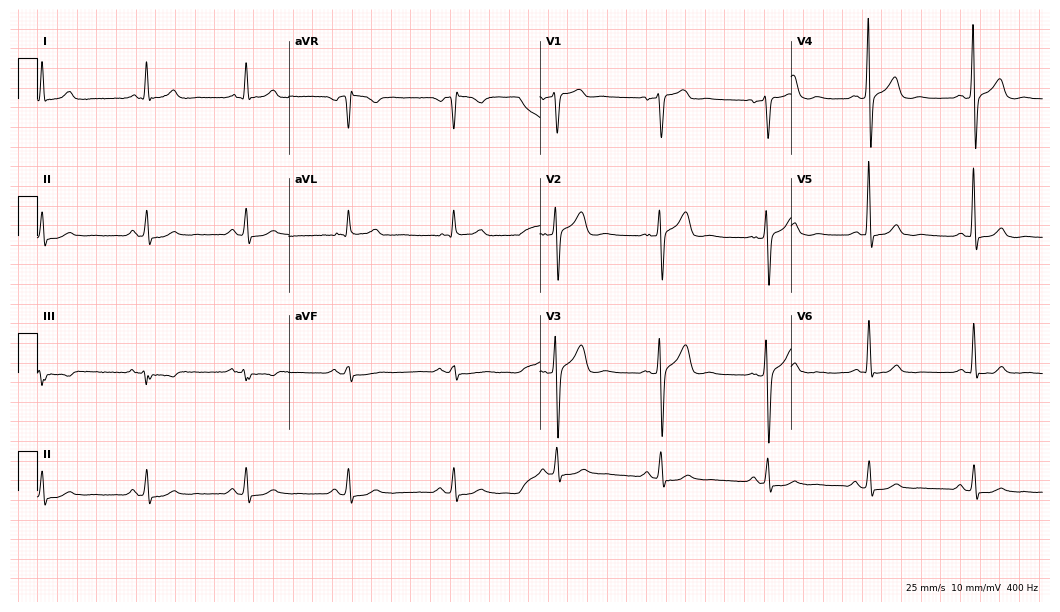
Standard 12-lead ECG recorded from a 58-year-old man (10.2-second recording at 400 Hz). Read as a normal ECG.